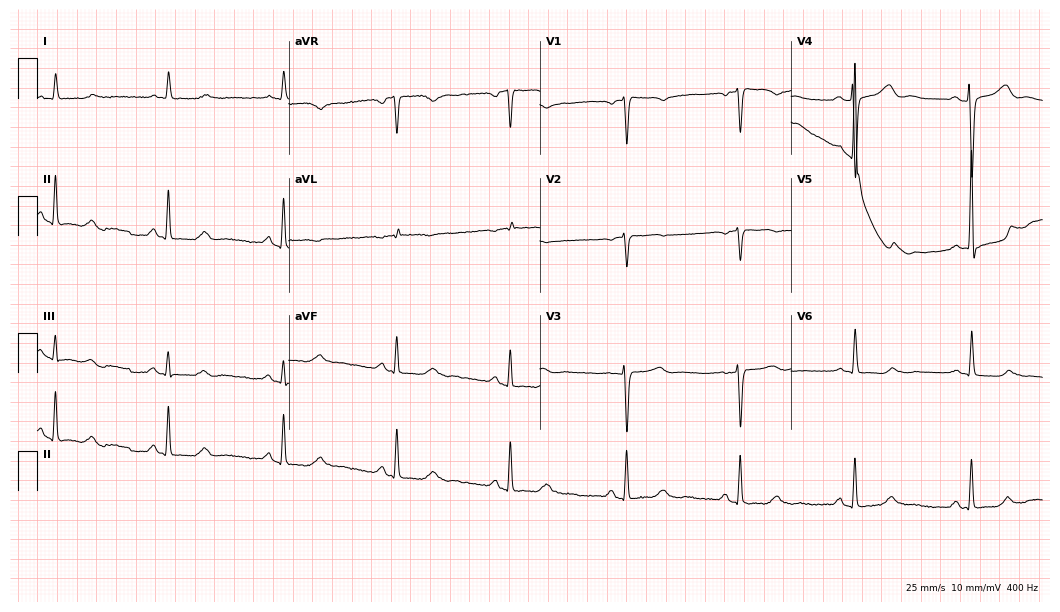
Standard 12-lead ECG recorded from a 60-year-old female (10.2-second recording at 400 Hz). None of these six findings is recorded: first-degree AV block, right bundle branch block, left bundle branch block, sinus bradycardia, atrial fibrillation, sinus tachycardia. Other findings, if any, are not listed.